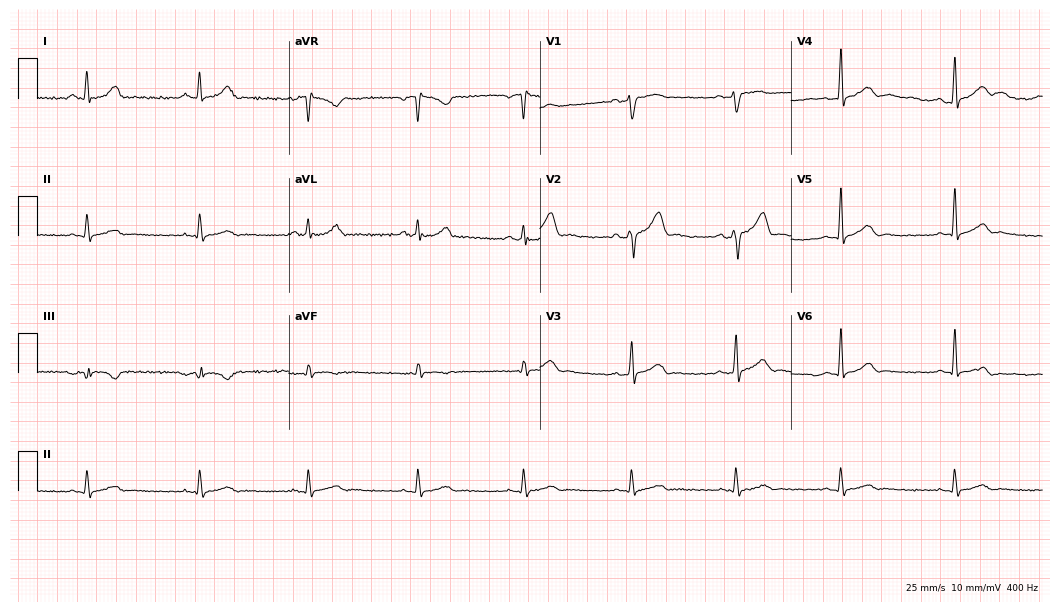
Standard 12-lead ECG recorded from a 26-year-old man. Read as a normal ECG.